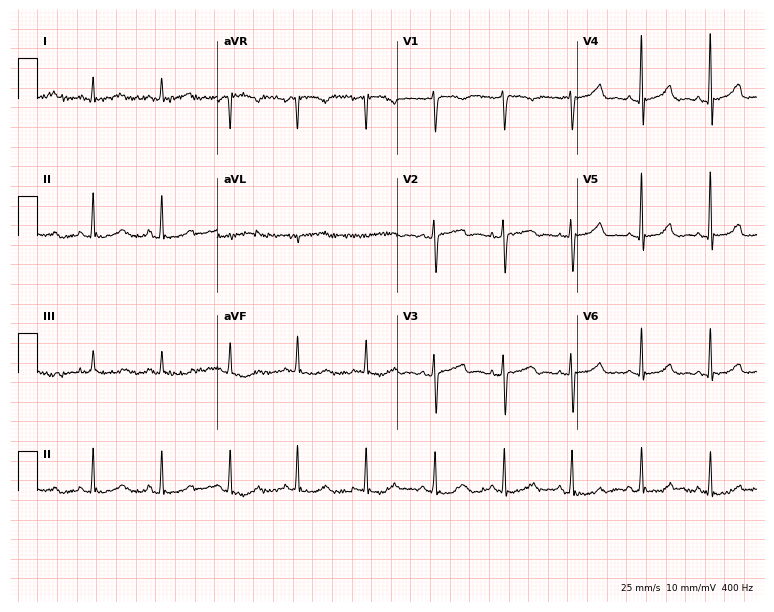
ECG — a woman, 50 years old. Screened for six findings — first-degree AV block, right bundle branch block (RBBB), left bundle branch block (LBBB), sinus bradycardia, atrial fibrillation (AF), sinus tachycardia — none is recorded.